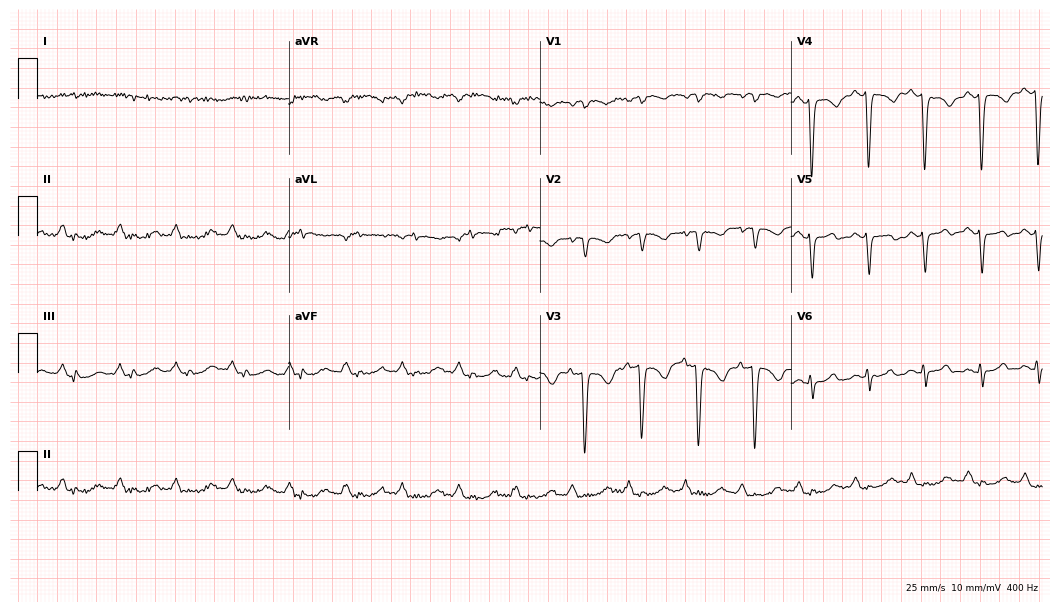
12-lead ECG from a male, 74 years old. Screened for six findings — first-degree AV block, right bundle branch block (RBBB), left bundle branch block (LBBB), sinus bradycardia, atrial fibrillation (AF), sinus tachycardia — none is recorded. Other findings, if any, are not listed.